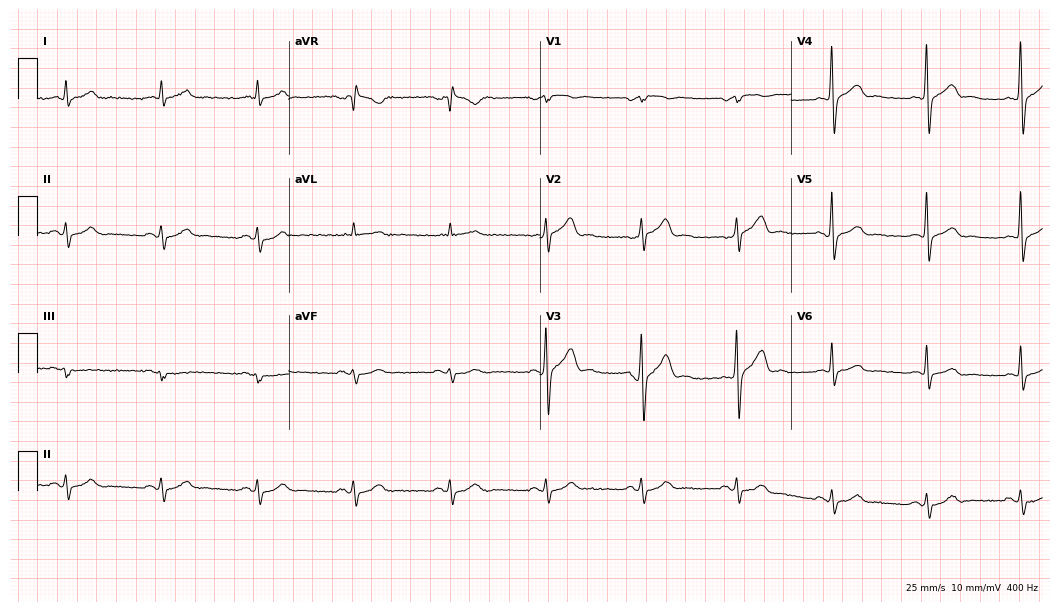
Resting 12-lead electrocardiogram (10.2-second recording at 400 Hz). Patient: a 49-year-old male. Read as a normal ECG.